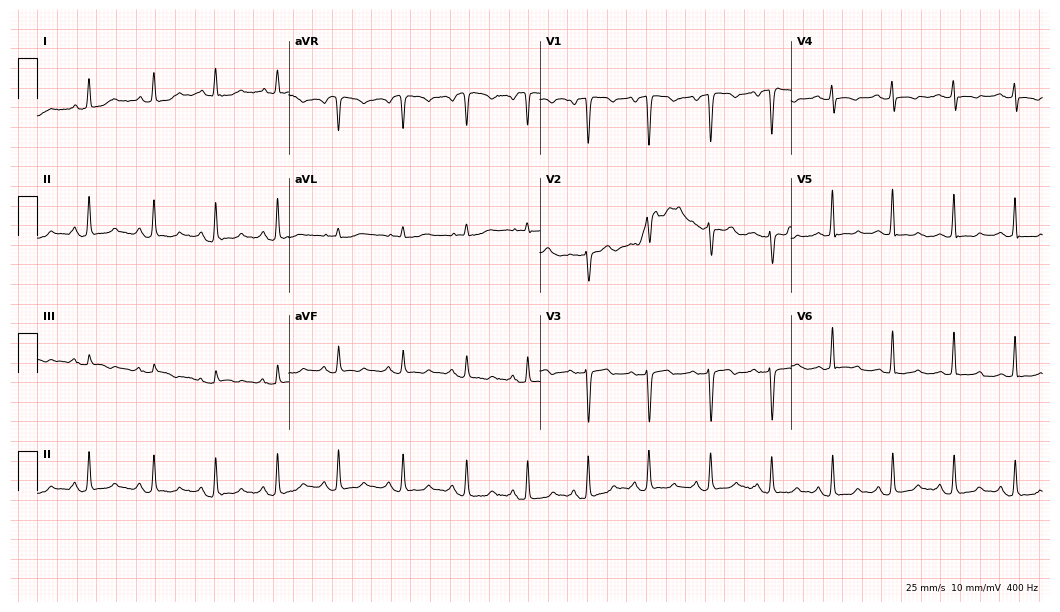
ECG — a woman, 57 years old. Screened for six findings — first-degree AV block, right bundle branch block (RBBB), left bundle branch block (LBBB), sinus bradycardia, atrial fibrillation (AF), sinus tachycardia — none is recorded.